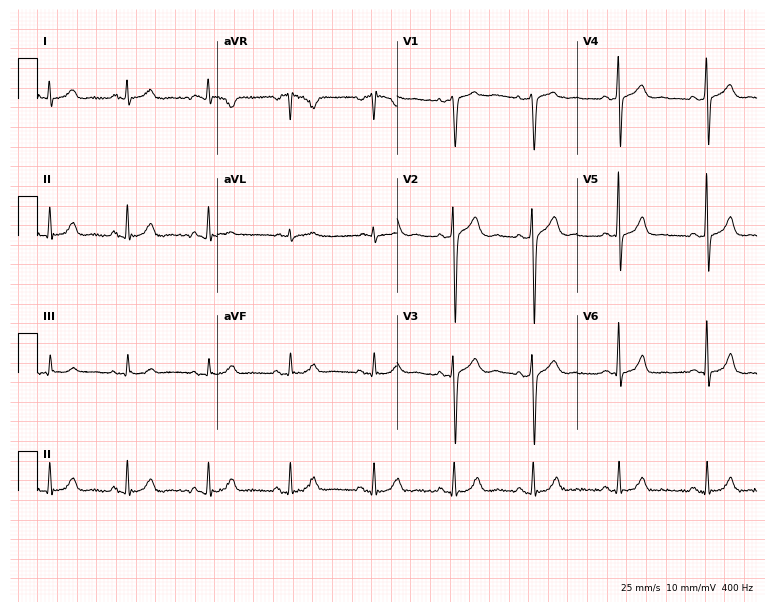
Standard 12-lead ECG recorded from a 45-year-old male patient (7.3-second recording at 400 Hz). Read as a normal ECG.